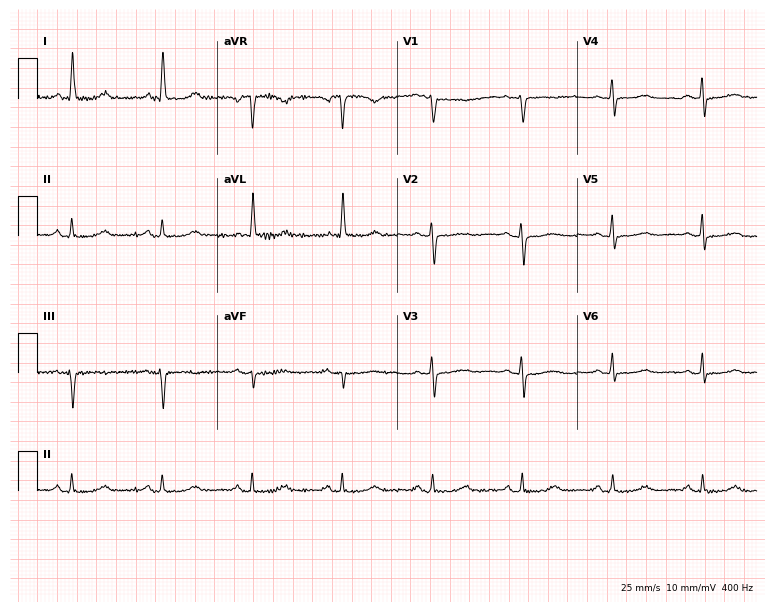
12-lead ECG (7.3-second recording at 400 Hz) from a 60-year-old female patient. Labelled as a normal ECG.